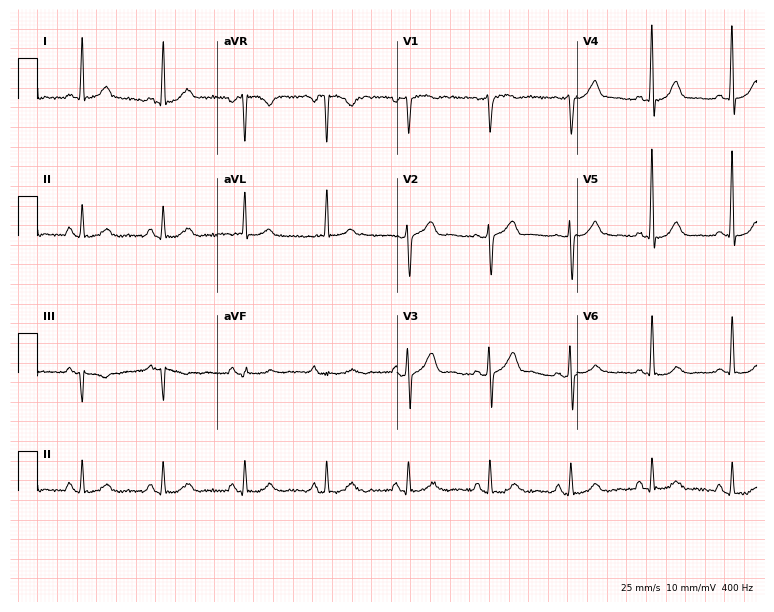
Resting 12-lead electrocardiogram. Patient: a 64-year-old male. None of these six findings is recorded: first-degree AV block, right bundle branch block, left bundle branch block, sinus bradycardia, atrial fibrillation, sinus tachycardia. Only these six findings were labelled.